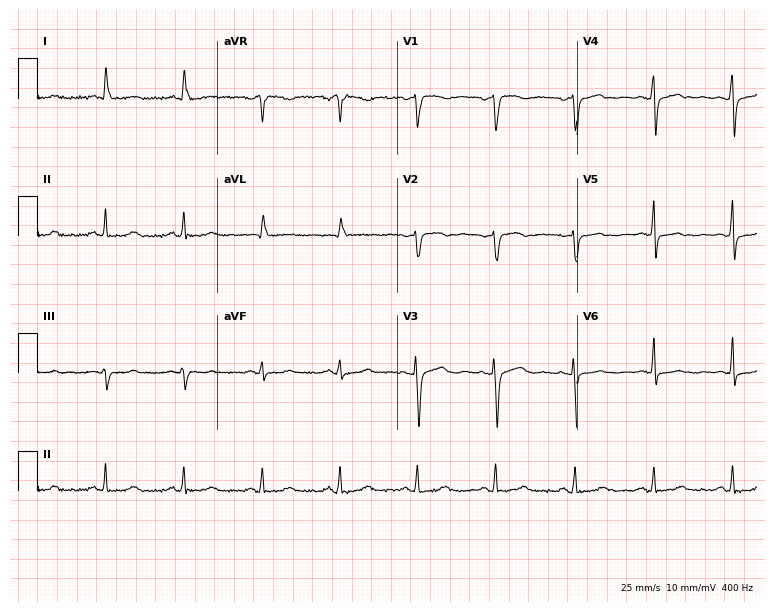
Electrocardiogram (7.3-second recording at 400 Hz), a female, 58 years old. Of the six screened findings (first-degree AV block, right bundle branch block, left bundle branch block, sinus bradycardia, atrial fibrillation, sinus tachycardia), none is recorded.